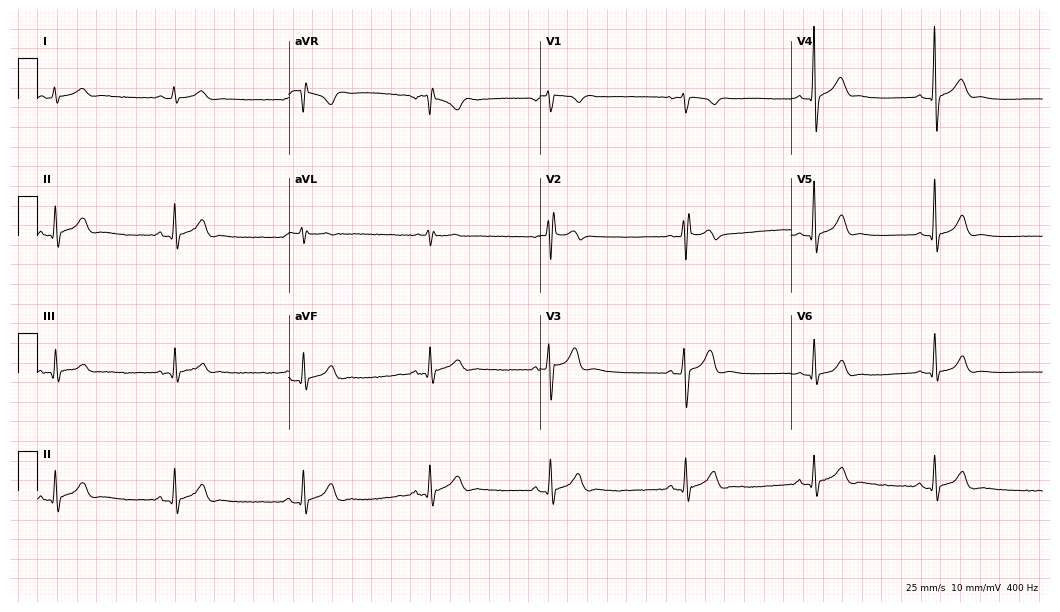
12-lead ECG from a 27-year-old male (10.2-second recording at 400 Hz). Recorded interpretation: within normal limits.